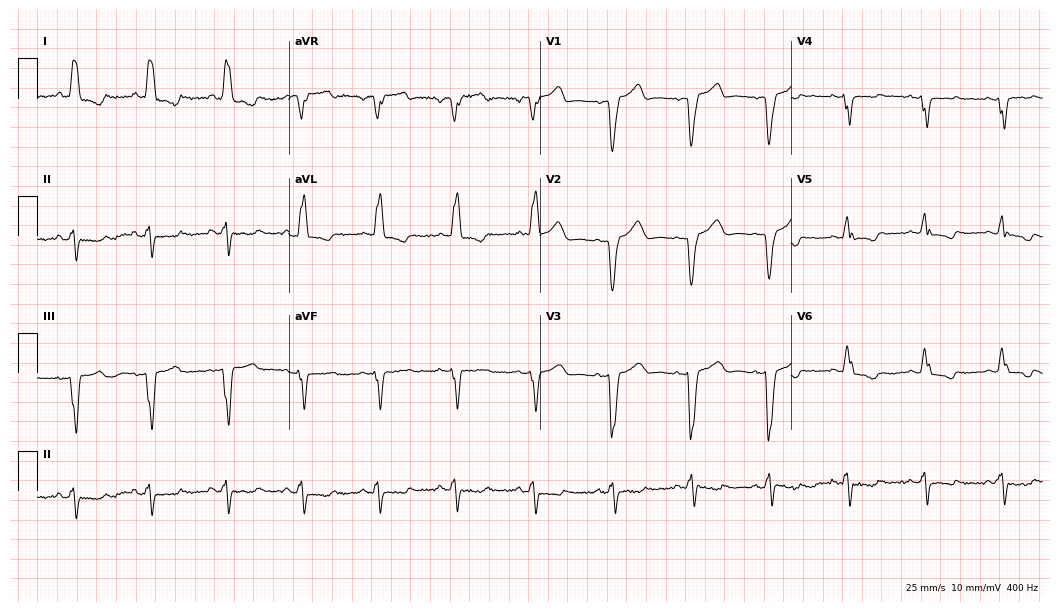
Resting 12-lead electrocardiogram (10.2-second recording at 400 Hz). Patient: a female, 69 years old. The tracing shows left bundle branch block.